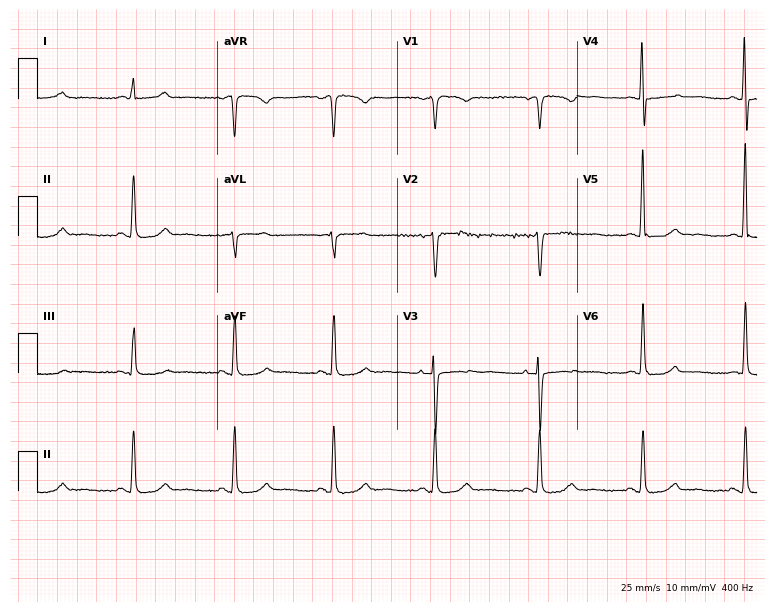
Standard 12-lead ECG recorded from a 53-year-old woman. Read as a normal ECG.